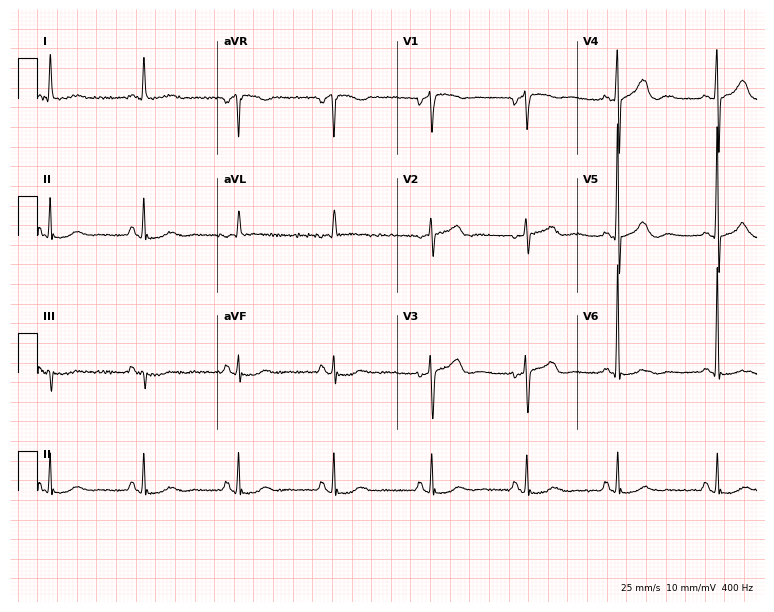
ECG — a female, 84 years old. Screened for six findings — first-degree AV block, right bundle branch block, left bundle branch block, sinus bradycardia, atrial fibrillation, sinus tachycardia — none is recorded. Only these six findings were labelled.